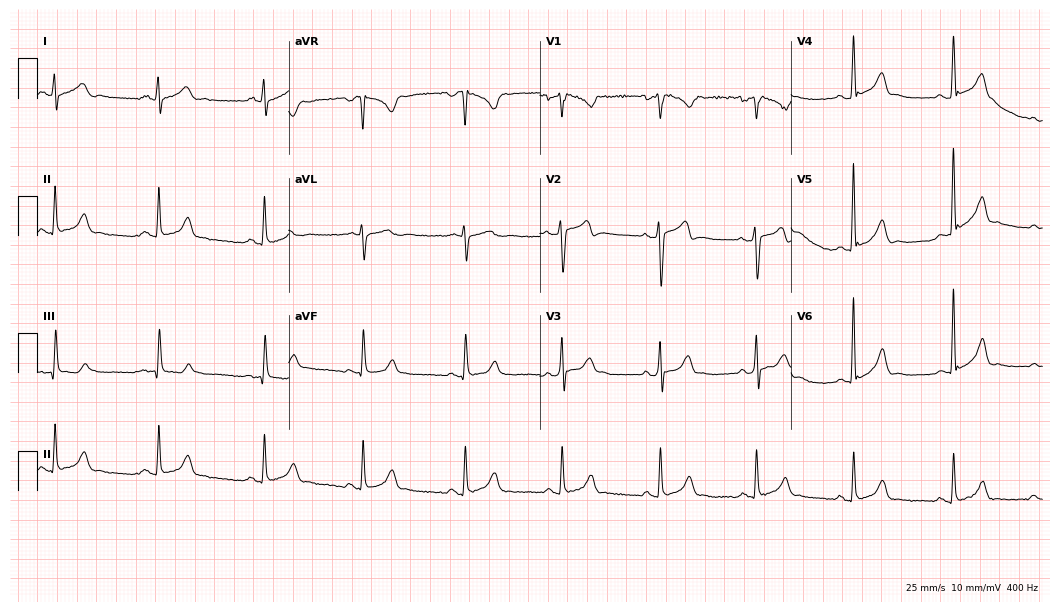
Resting 12-lead electrocardiogram. Patient: a man, 28 years old. Read as a normal ECG.